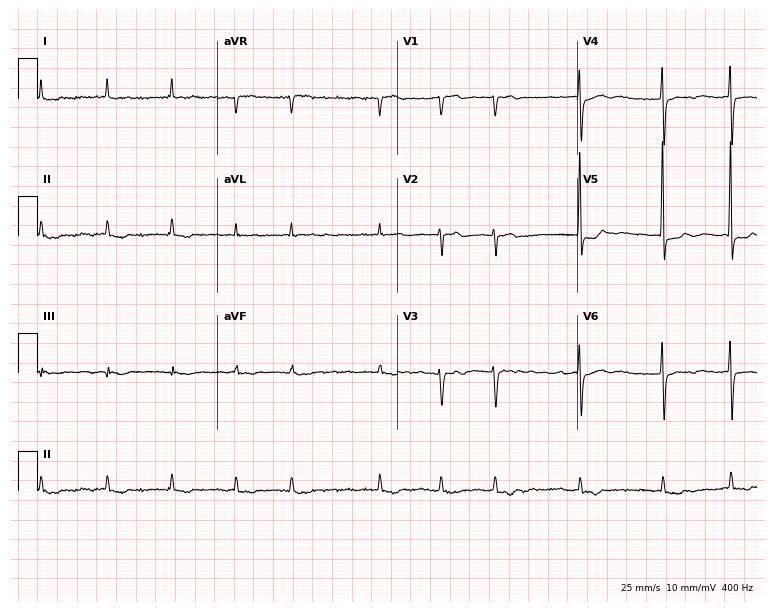
12-lead ECG from a woman, 69 years old (7.3-second recording at 400 Hz). Shows atrial fibrillation.